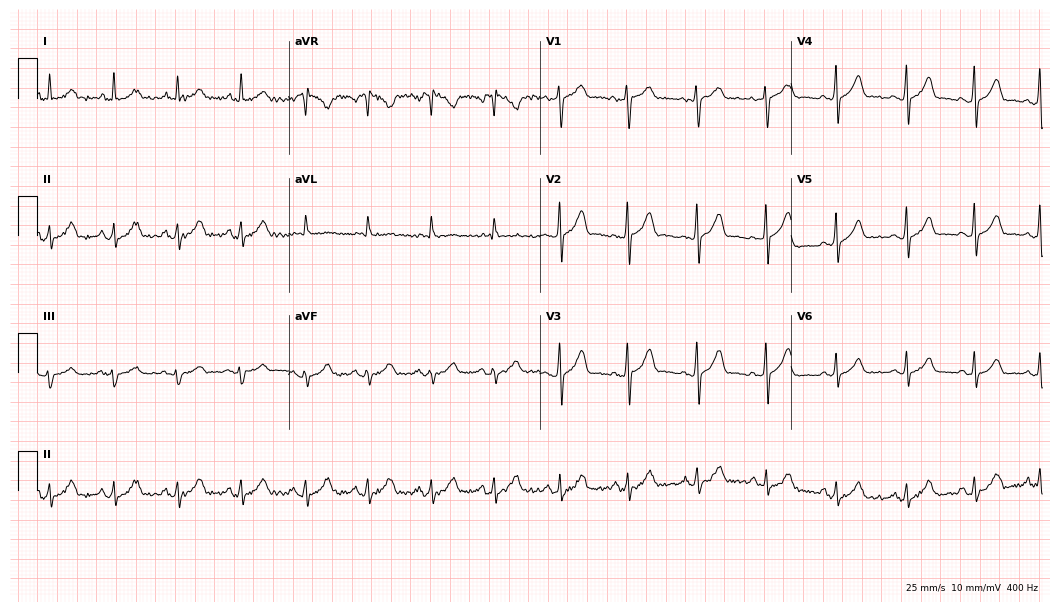
Resting 12-lead electrocardiogram (10.2-second recording at 400 Hz). Patient: a 36-year-old female. Read as a normal ECG.